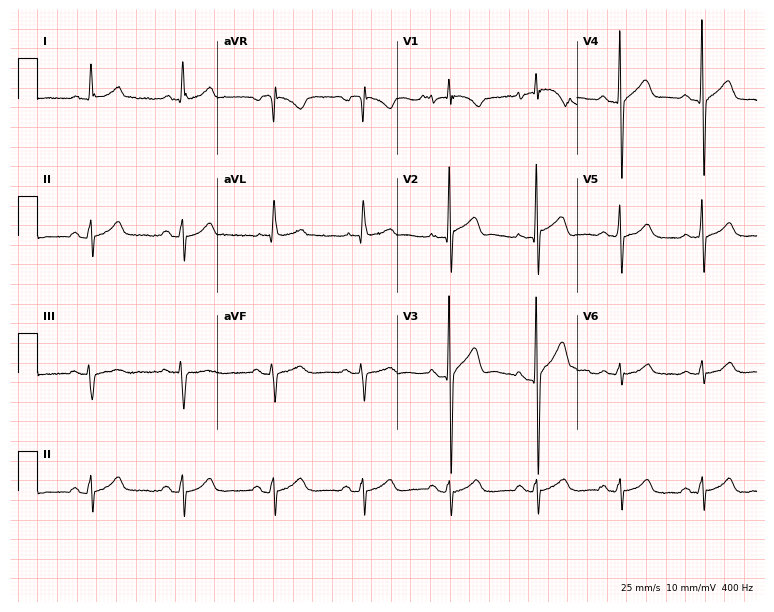
12-lead ECG (7.3-second recording at 400 Hz) from a 70-year-old man. Screened for six findings — first-degree AV block, right bundle branch block, left bundle branch block, sinus bradycardia, atrial fibrillation, sinus tachycardia — none is recorded. Only these six findings were labelled.